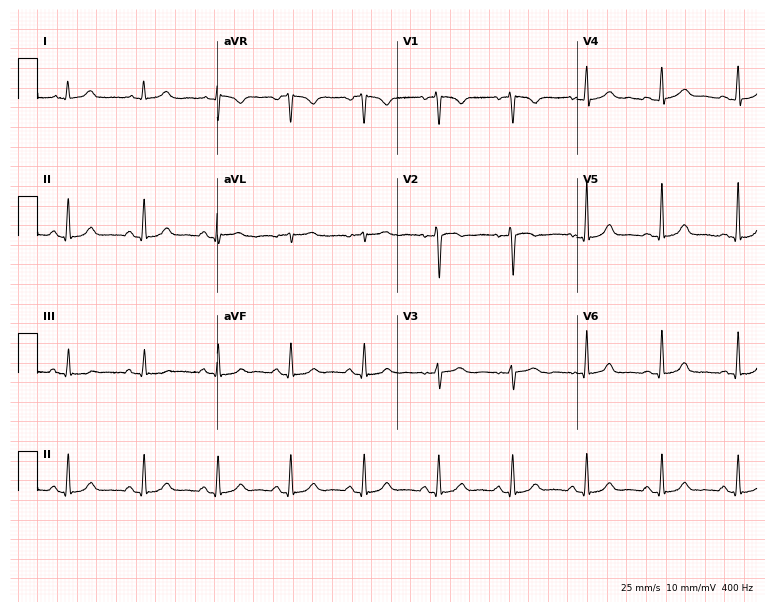
12-lead ECG from a 46-year-old woman. Labelled as a normal ECG.